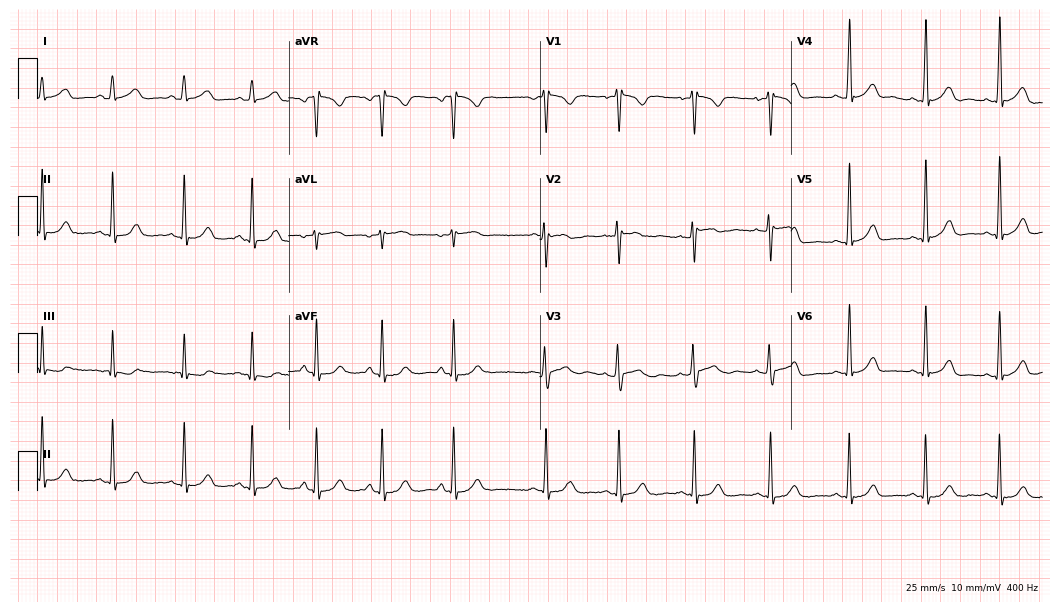
Resting 12-lead electrocardiogram. Patient: a 17-year-old female. None of these six findings is recorded: first-degree AV block, right bundle branch block, left bundle branch block, sinus bradycardia, atrial fibrillation, sinus tachycardia. Findings outside these six are not listed.